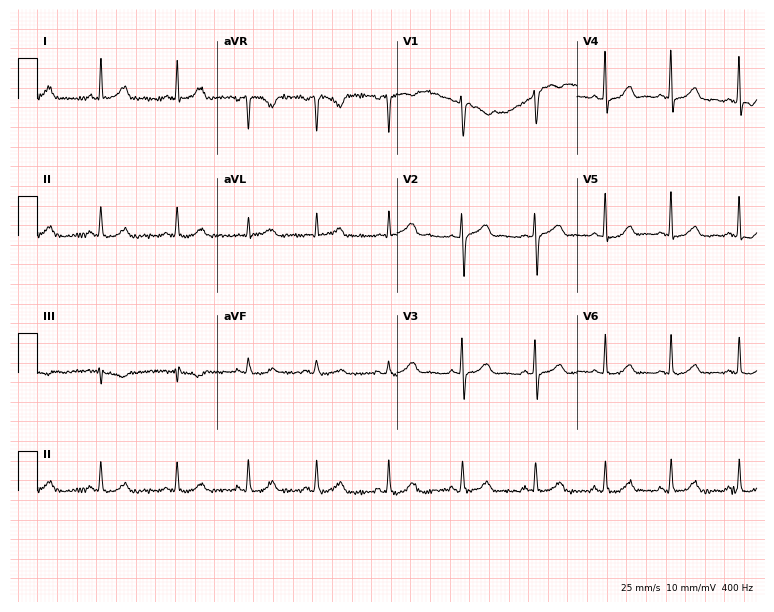
Electrocardiogram, a female patient, 44 years old. Of the six screened findings (first-degree AV block, right bundle branch block (RBBB), left bundle branch block (LBBB), sinus bradycardia, atrial fibrillation (AF), sinus tachycardia), none is recorded.